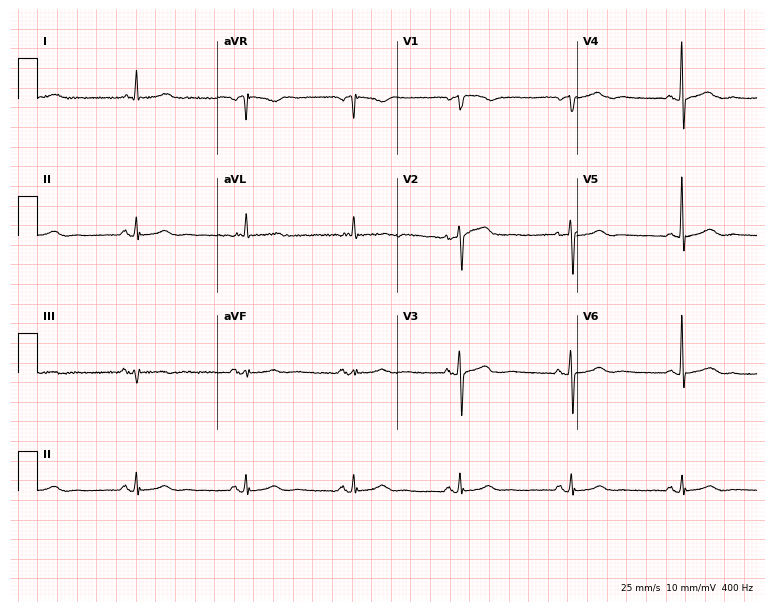
12-lead ECG from an 83-year-old female patient. Recorded interpretation: within normal limits.